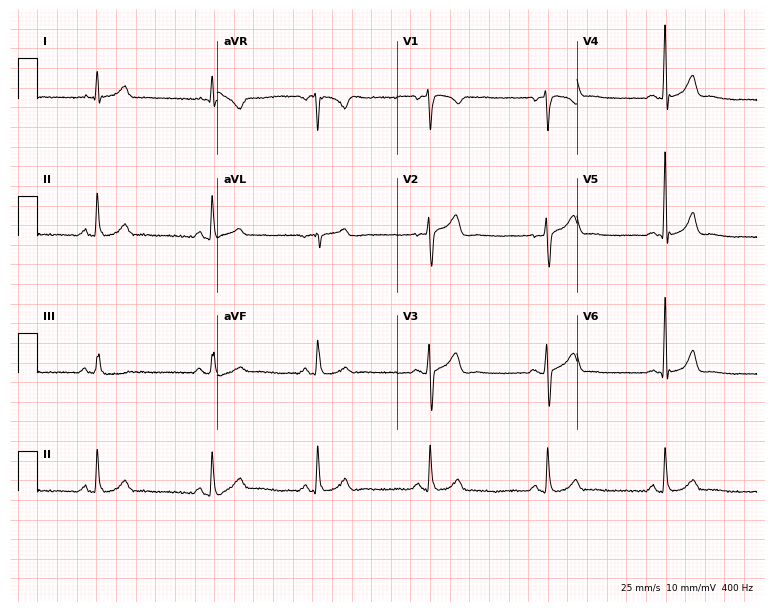
Electrocardiogram, a male patient, 41 years old. Overall reading on record: normal ECG.